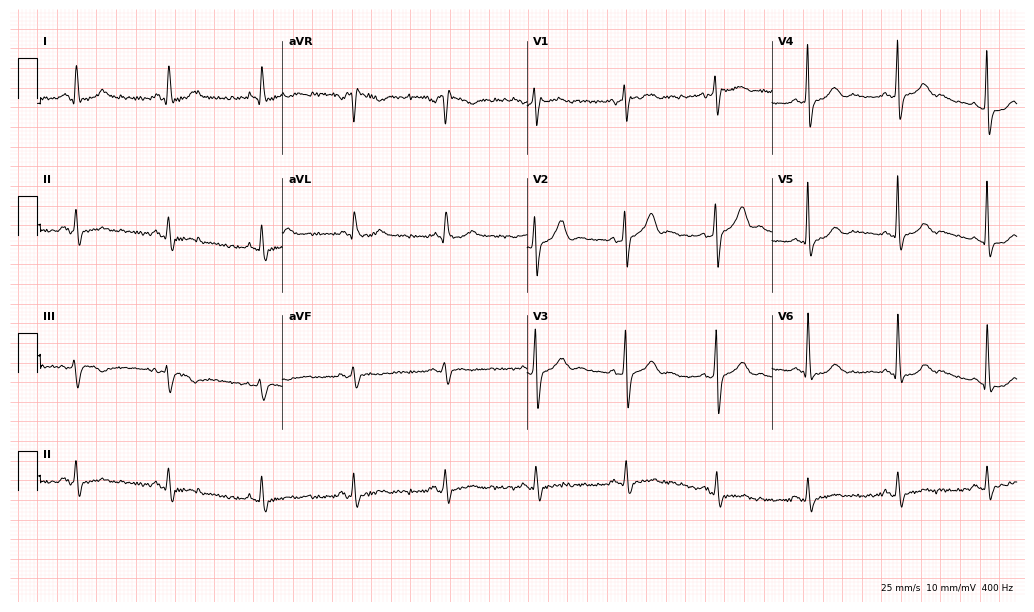
12-lead ECG from a male patient, 49 years old. No first-degree AV block, right bundle branch block, left bundle branch block, sinus bradycardia, atrial fibrillation or sinus tachycardia recorded for this tracing. Other findings, if any, are not listed.